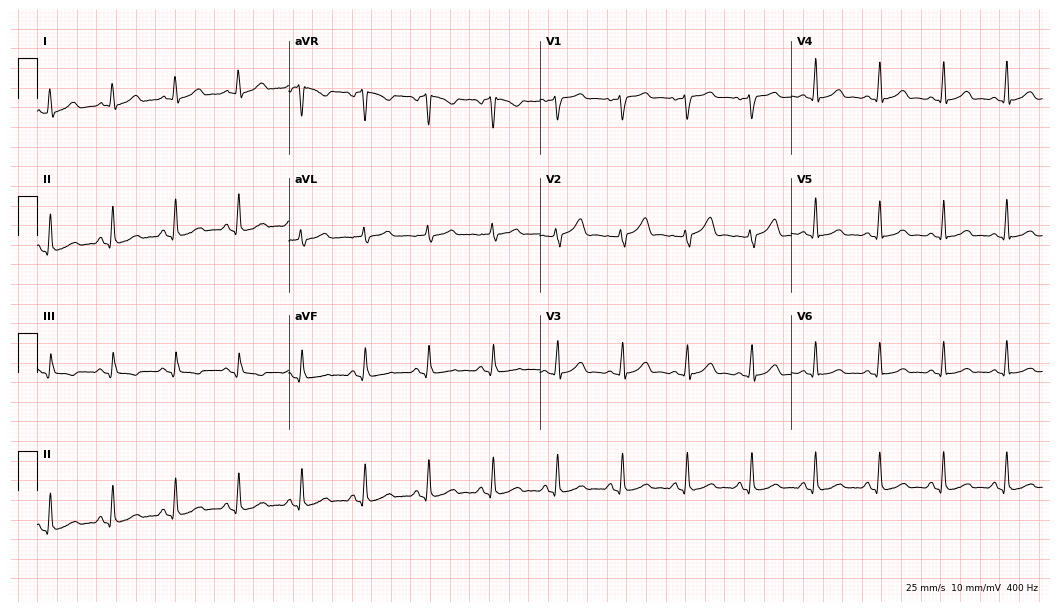
Electrocardiogram, a 45-year-old female patient. Of the six screened findings (first-degree AV block, right bundle branch block, left bundle branch block, sinus bradycardia, atrial fibrillation, sinus tachycardia), none is recorded. Only these six findings were labelled.